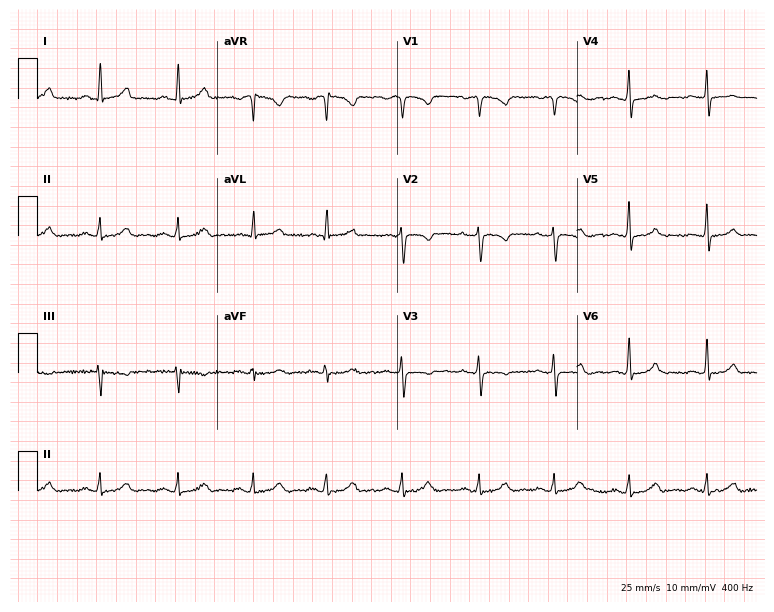
Standard 12-lead ECG recorded from a woman, 33 years old (7.3-second recording at 400 Hz). Read as a normal ECG.